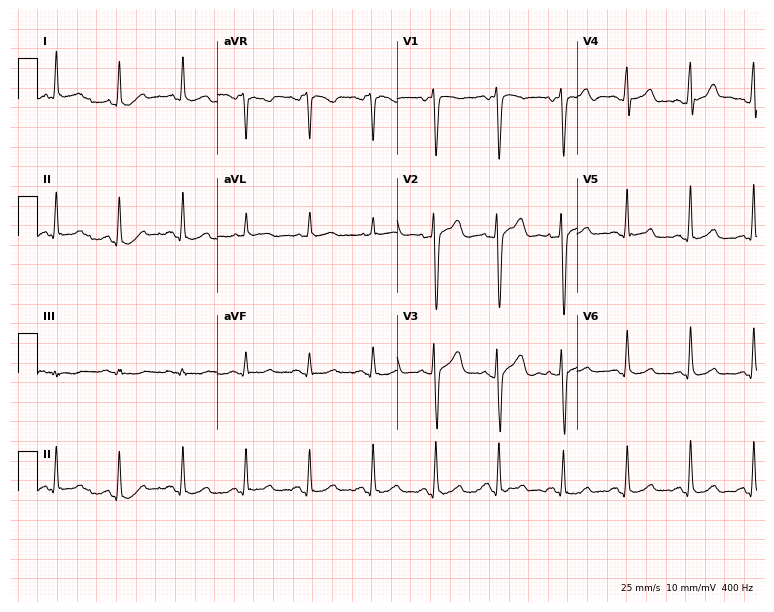
Resting 12-lead electrocardiogram (7.3-second recording at 400 Hz). Patient: a 61-year-old male. Read as a normal ECG.